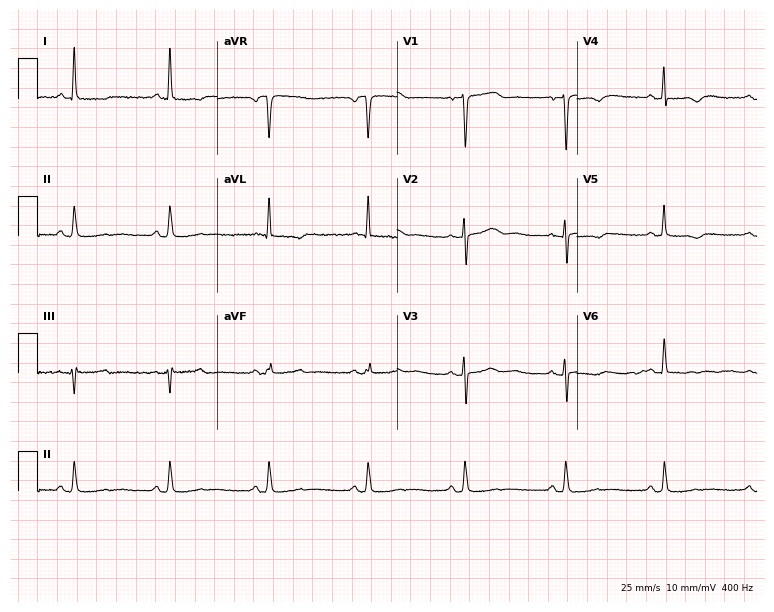
Resting 12-lead electrocardiogram. Patient: a 67-year-old woman. None of these six findings is recorded: first-degree AV block, right bundle branch block, left bundle branch block, sinus bradycardia, atrial fibrillation, sinus tachycardia.